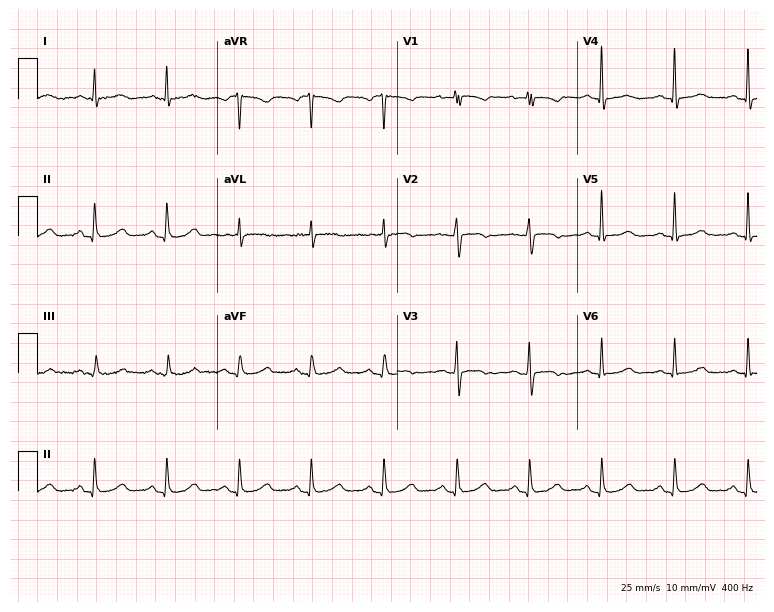
Standard 12-lead ECG recorded from a 78-year-old male patient. Read as a normal ECG.